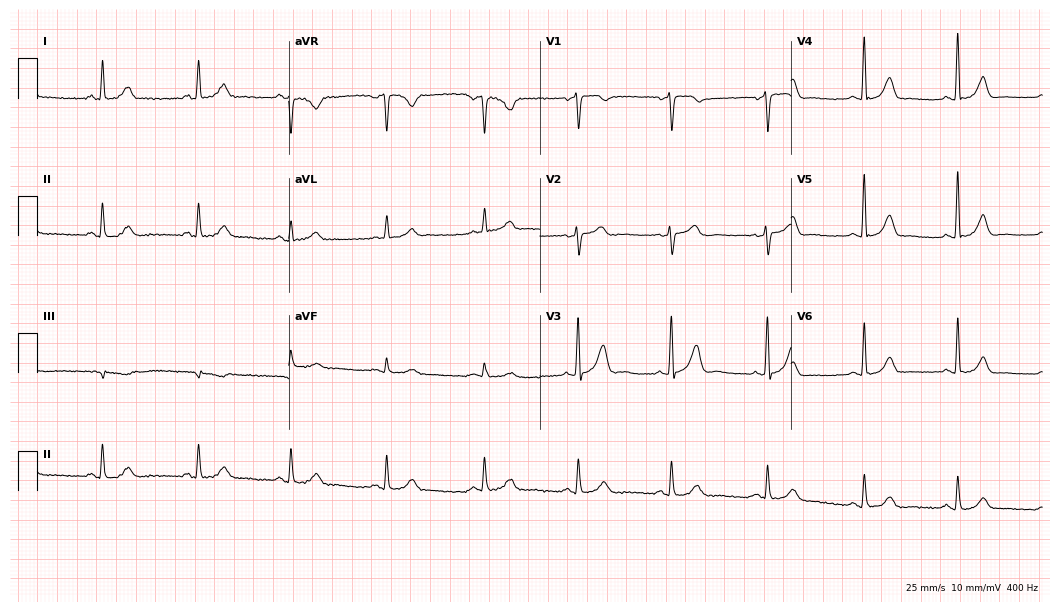
12-lead ECG (10.2-second recording at 400 Hz) from a 65-year-old female. Labelled as a normal ECG.